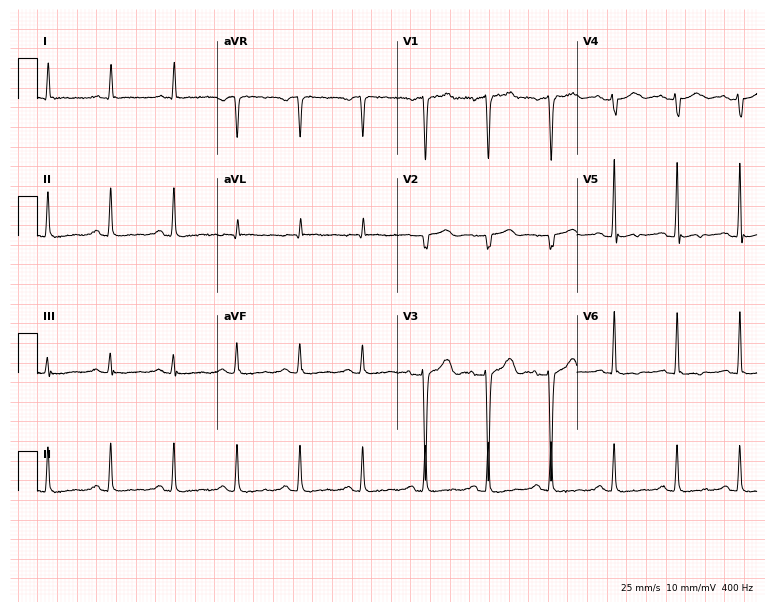
Electrocardiogram (7.3-second recording at 400 Hz), a 58-year-old male patient. Of the six screened findings (first-degree AV block, right bundle branch block, left bundle branch block, sinus bradycardia, atrial fibrillation, sinus tachycardia), none is recorded.